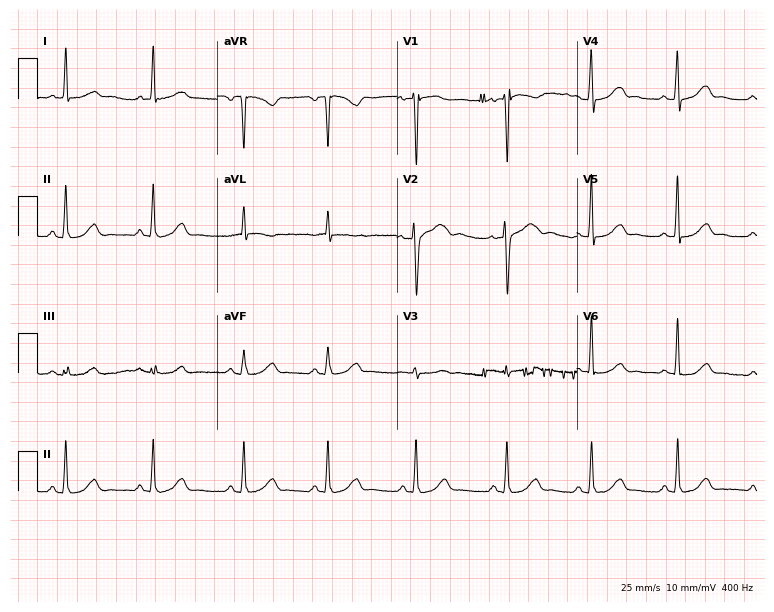
Resting 12-lead electrocardiogram (7.3-second recording at 400 Hz). Patient: a 50-year-old woman. Read as a normal ECG.